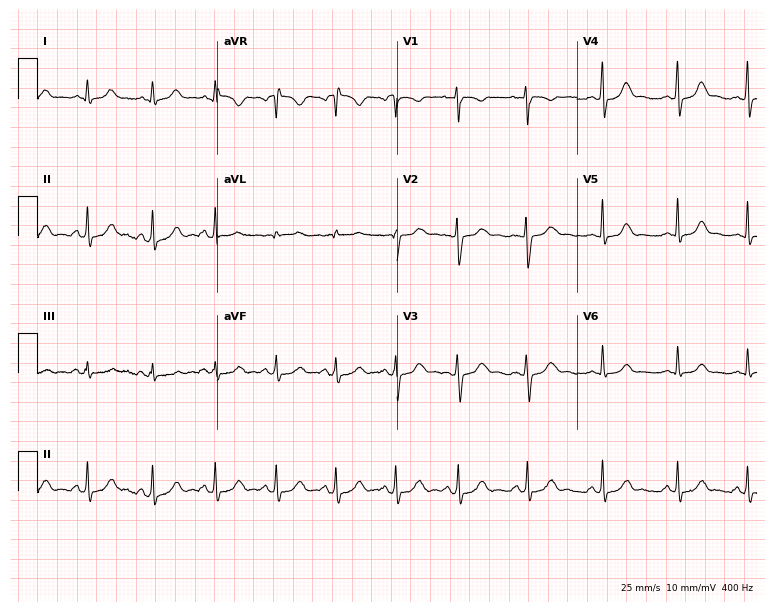
ECG — a 27-year-old female. Labelled as a normal ECG.